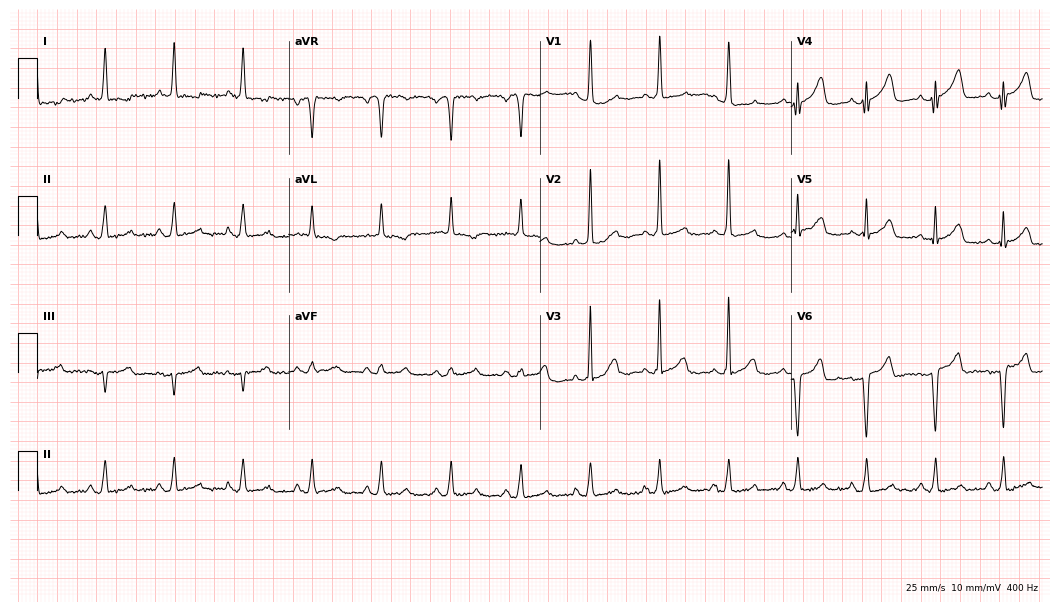
Standard 12-lead ECG recorded from a 73-year-old female patient (10.2-second recording at 400 Hz). None of these six findings is recorded: first-degree AV block, right bundle branch block, left bundle branch block, sinus bradycardia, atrial fibrillation, sinus tachycardia.